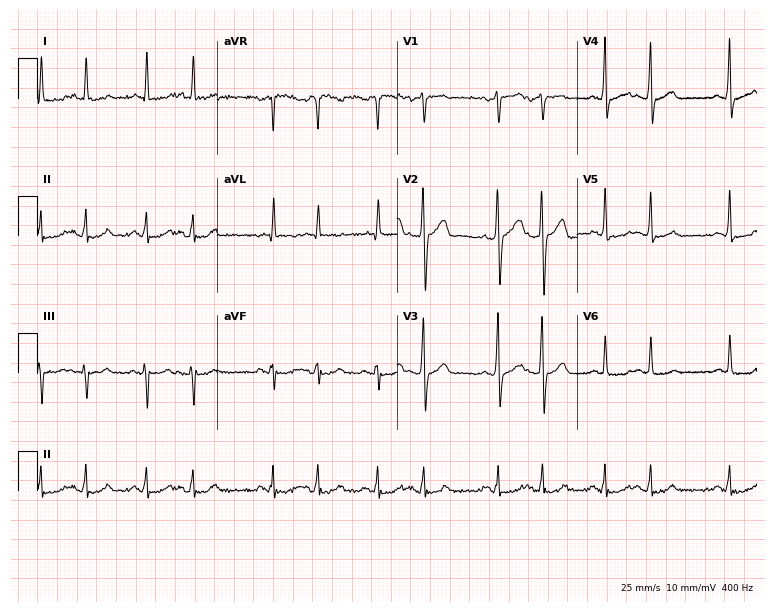
Resting 12-lead electrocardiogram. Patient: a 72-year-old man. The tracing shows sinus tachycardia (a sinus rate of 100 beats per minute or more).